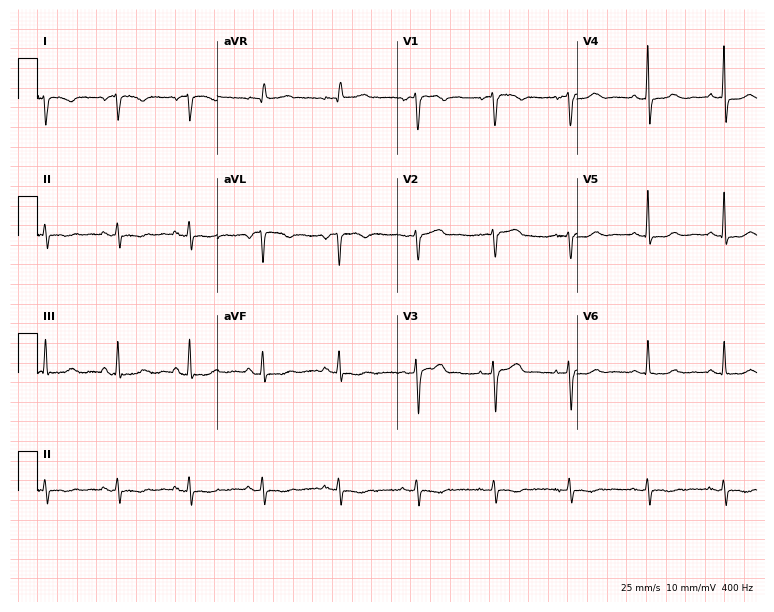
ECG — a woman, 63 years old. Screened for six findings — first-degree AV block, right bundle branch block (RBBB), left bundle branch block (LBBB), sinus bradycardia, atrial fibrillation (AF), sinus tachycardia — none is recorded.